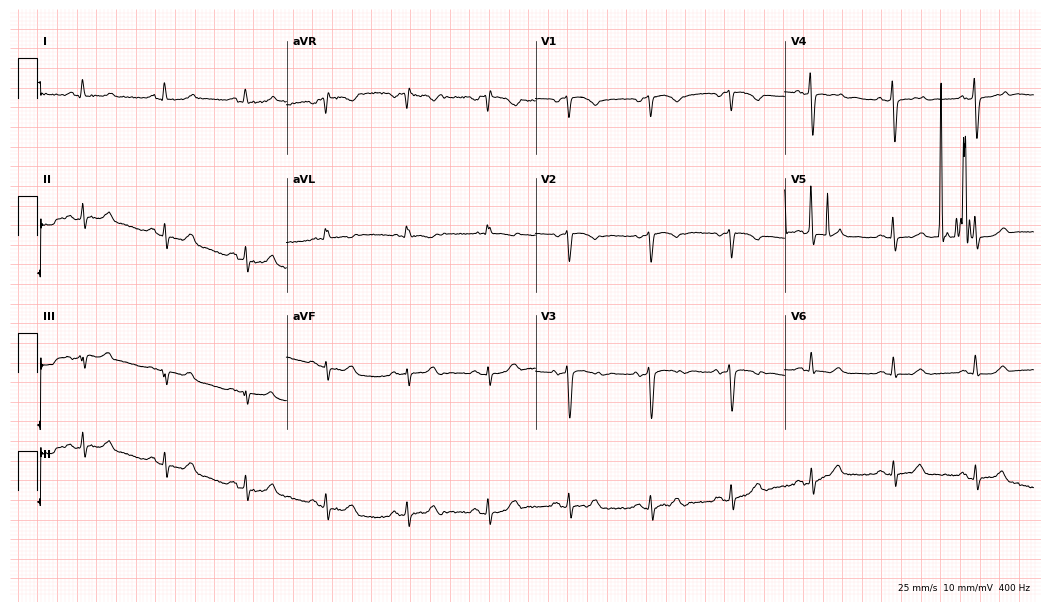
Resting 12-lead electrocardiogram (10.2-second recording at 400 Hz). Patient: a female, 66 years old. Read as a normal ECG.